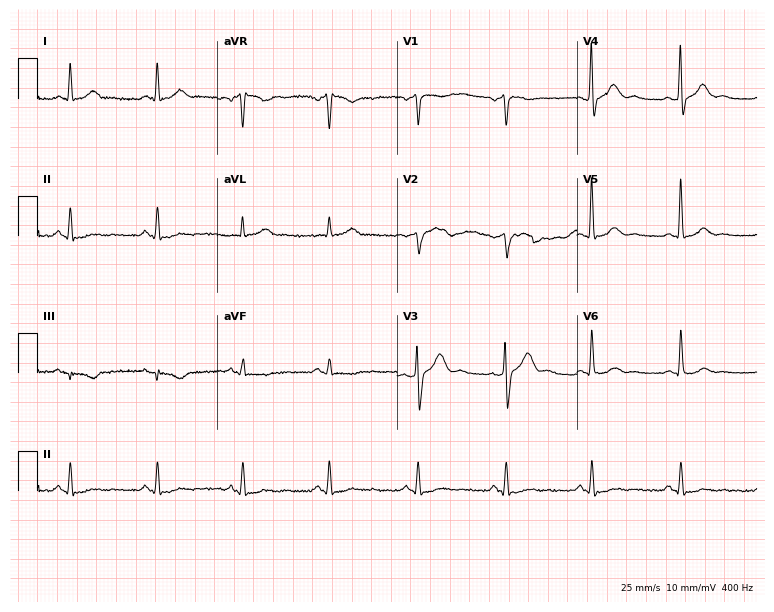
Standard 12-lead ECG recorded from a man, 54 years old (7.3-second recording at 400 Hz). None of these six findings is recorded: first-degree AV block, right bundle branch block, left bundle branch block, sinus bradycardia, atrial fibrillation, sinus tachycardia.